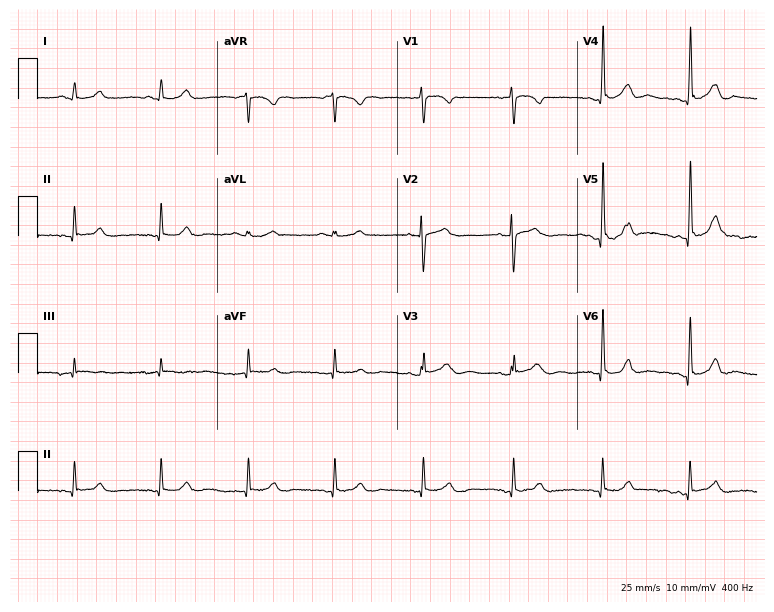
Standard 12-lead ECG recorded from a female, 37 years old. Read as a normal ECG.